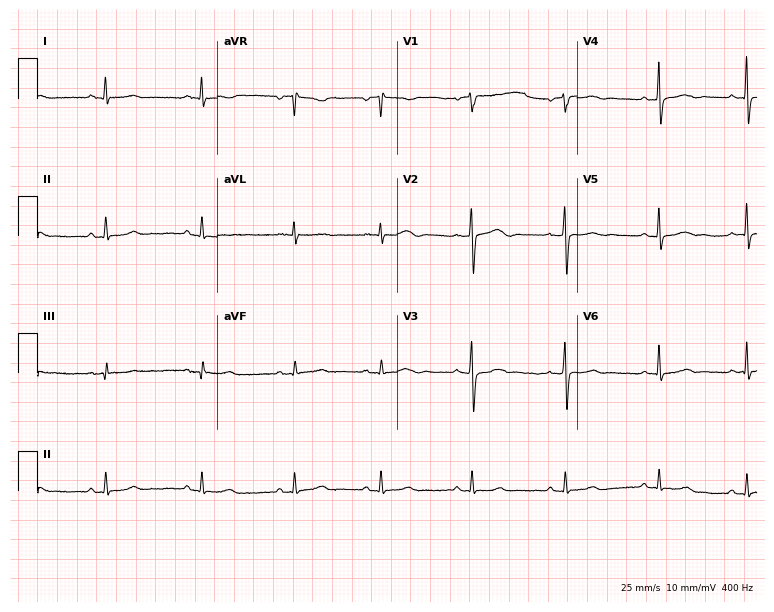
ECG — a 45-year-old female patient. Labelled as a normal ECG.